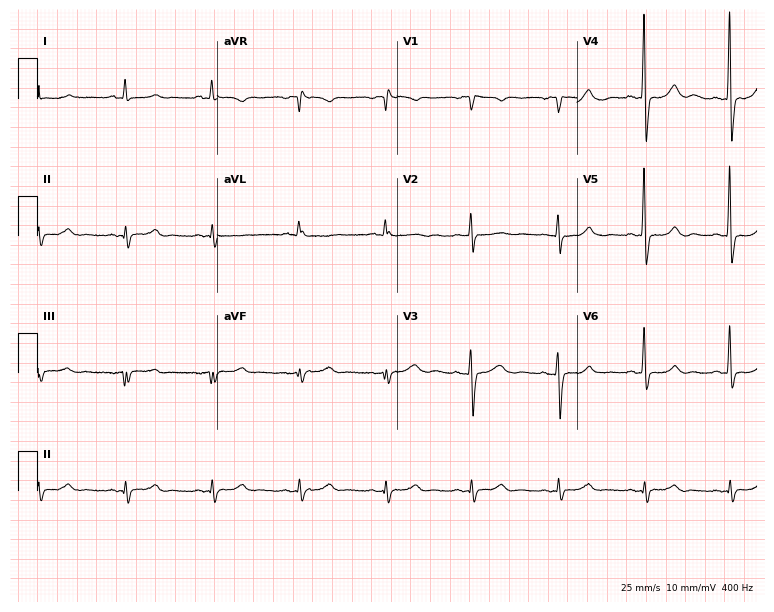
ECG (7.3-second recording at 400 Hz) — a female patient, 70 years old. Screened for six findings — first-degree AV block, right bundle branch block (RBBB), left bundle branch block (LBBB), sinus bradycardia, atrial fibrillation (AF), sinus tachycardia — none is recorded. Findings outside these six are not listed.